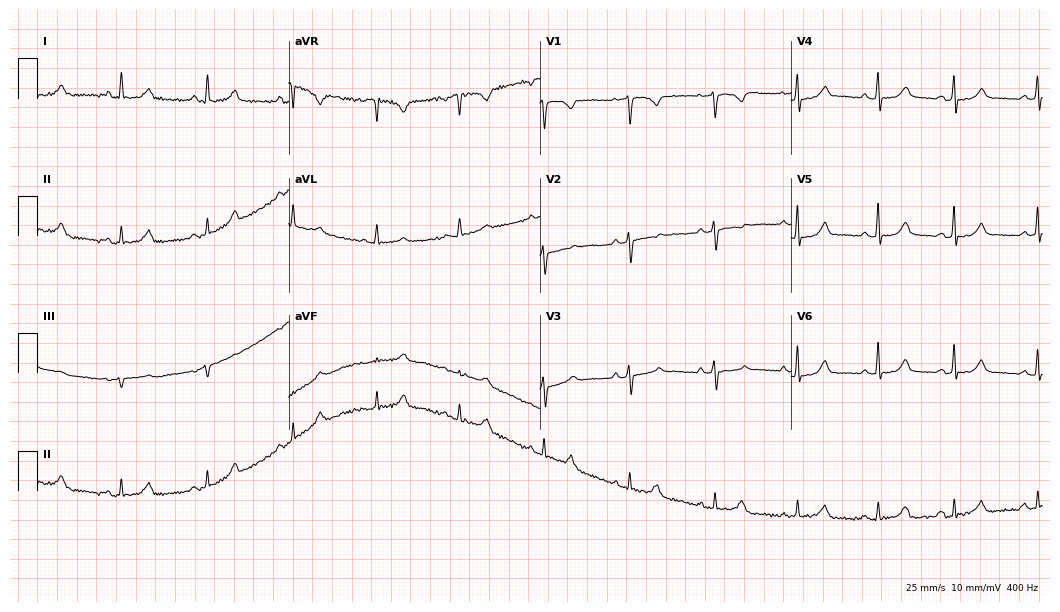
12-lead ECG from a 37-year-old woman. Recorded interpretation: within normal limits.